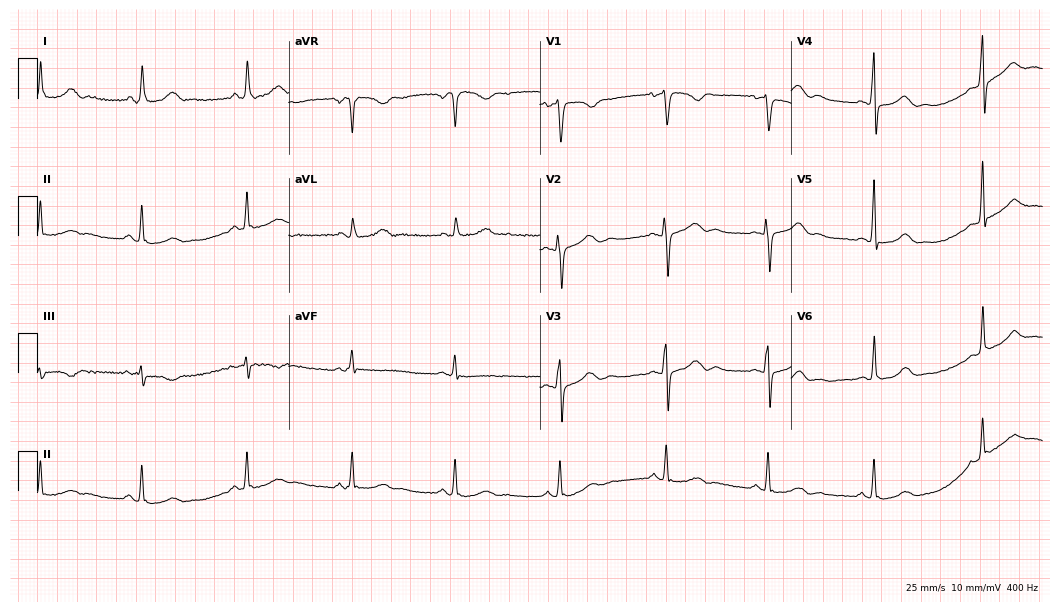
12-lead ECG (10.2-second recording at 400 Hz) from a female, 33 years old. Labelled as a normal ECG.